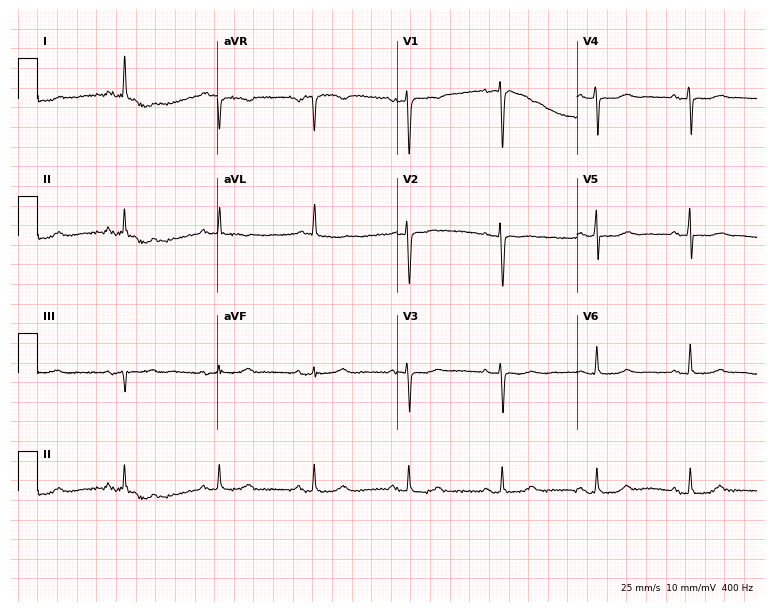
Standard 12-lead ECG recorded from a woman, 60 years old (7.3-second recording at 400 Hz). None of these six findings is recorded: first-degree AV block, right bundle branch block, left bundle branch block, sinus bradycardia, atrial fibrillation, sinus tachycardia. Other findings, if any, are not listed.